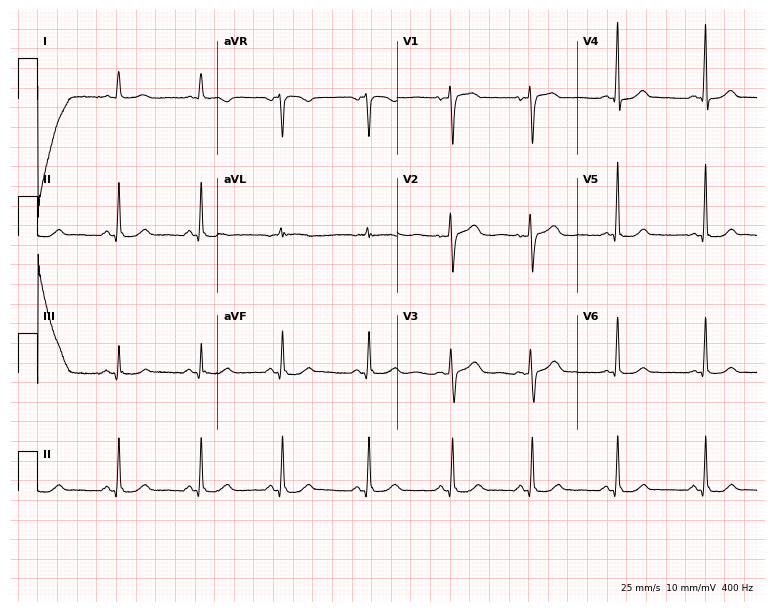
Resting 12-lead electrocardiogram (7.3-second recording at 400 Hz). Patient: a female, 57 years old. None of these six findings is recorded: first-degree AV block, right bundle branch block (RBBB), left bundle branch block (LBBB), sinus bradycardia, atrial fibrillation (AF), sinus tachycardia. Only these six findings were labelled.